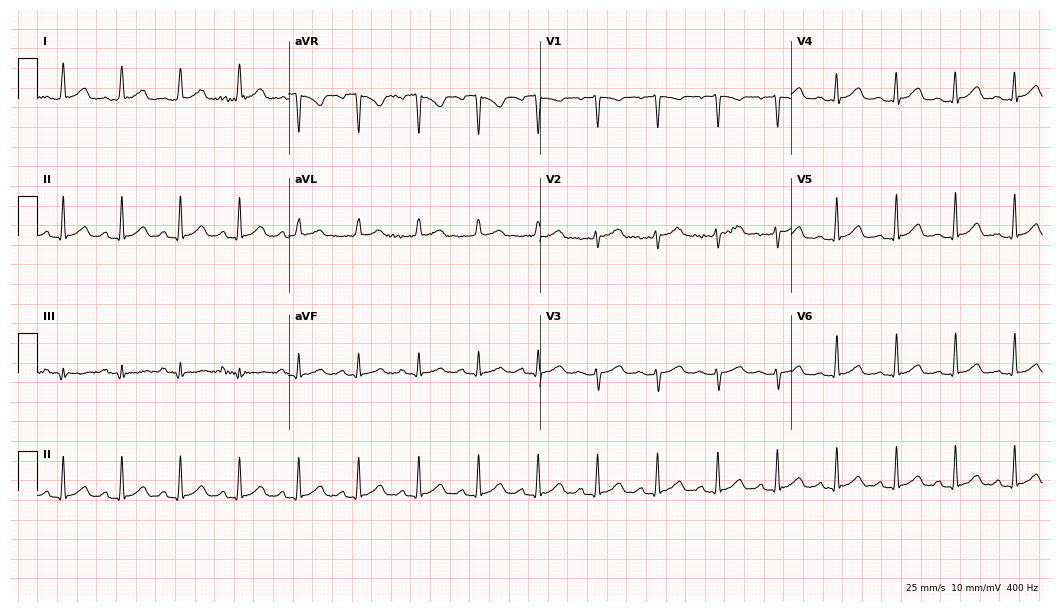
Standard 12-lead ECG recorded from a woman, 37 years old (10.2-second recording at 400 Hz). Read as a normal ECG.